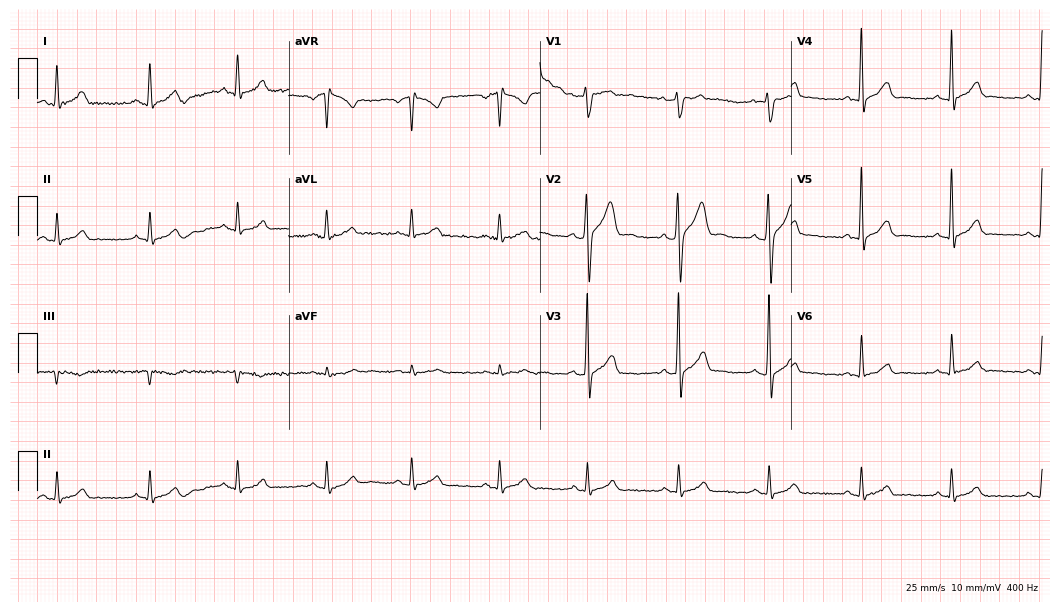
Resting 12-lead electrocardiogram. Patient: a 30-year-old male. Read as a normal ECG.